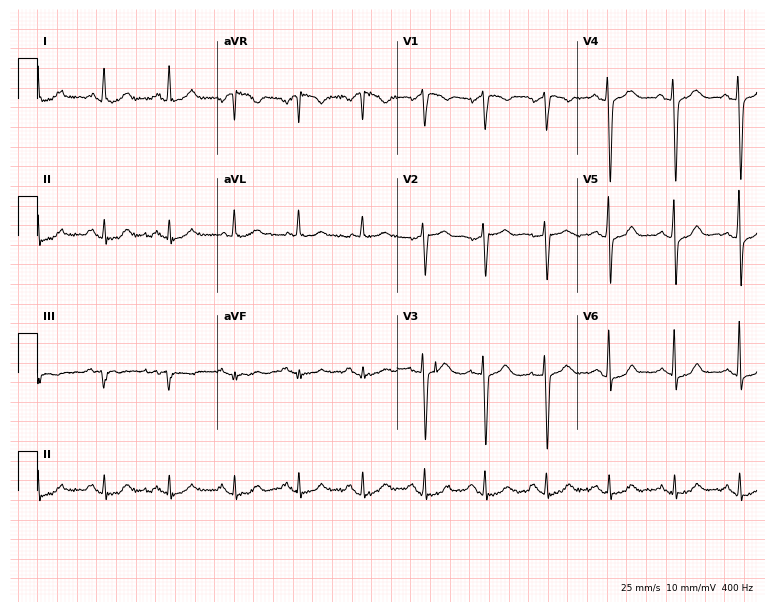
12-lead ECG from a woman, 32 years old. Labelled as a normal ECG.